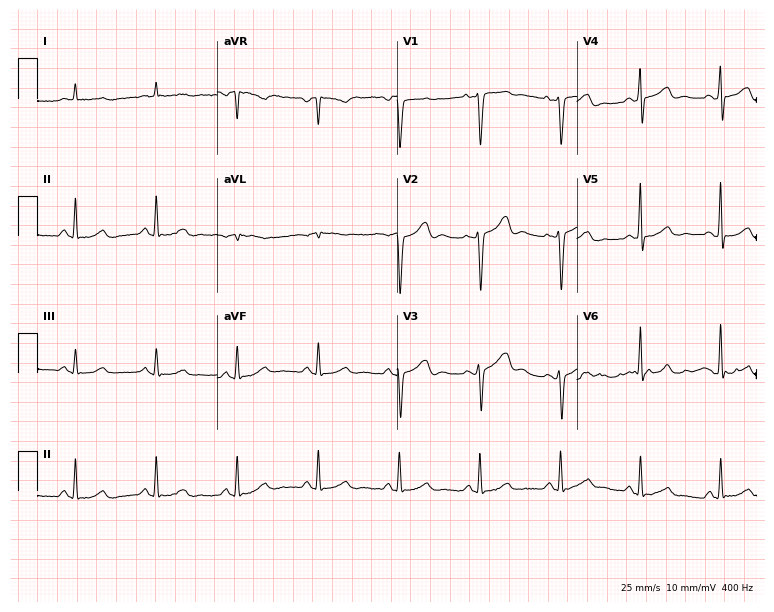
Resting 12-lead electrocardiogram. Patient: a 76-year-old male. None of these six findings is recorded: first-degree AV block, right bundle branch block, left bundle branch block, sinus bradycardia, atrial fibrillation, sinus tachycardia.